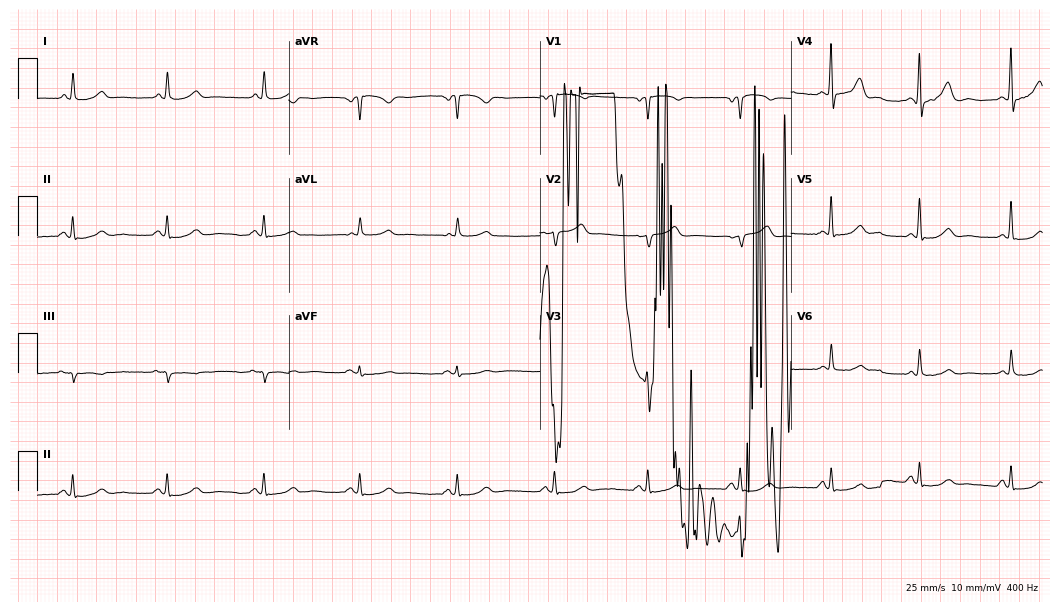
Electrocardiogram, a 56-year-old female patient. Of the six screened findings (first-degree AV block, right bundle branch block, left bundle branch block, sinus bradycardia, atrial fibrillation, sinus tachycardia), none is recorded. Findings outside these six are not listed.